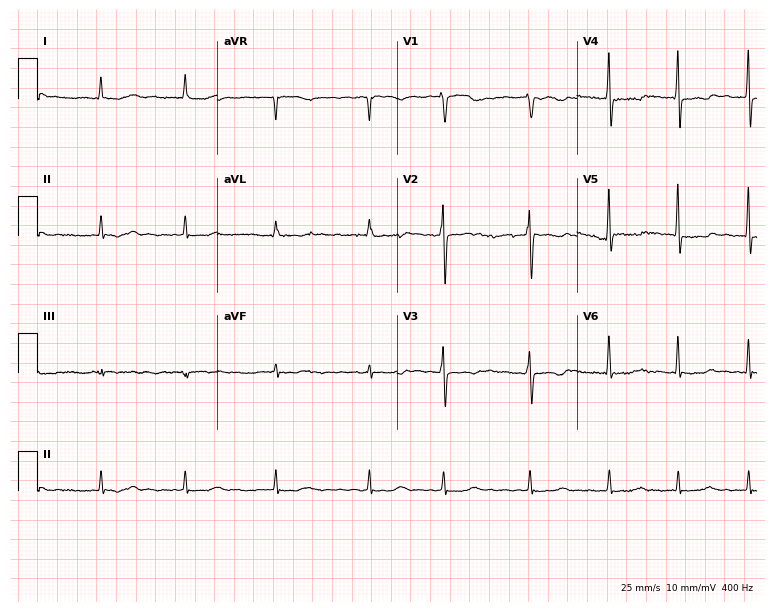
12-lead ECG from an 81-year-old woman. Findings include atrial fibrillation (AF).